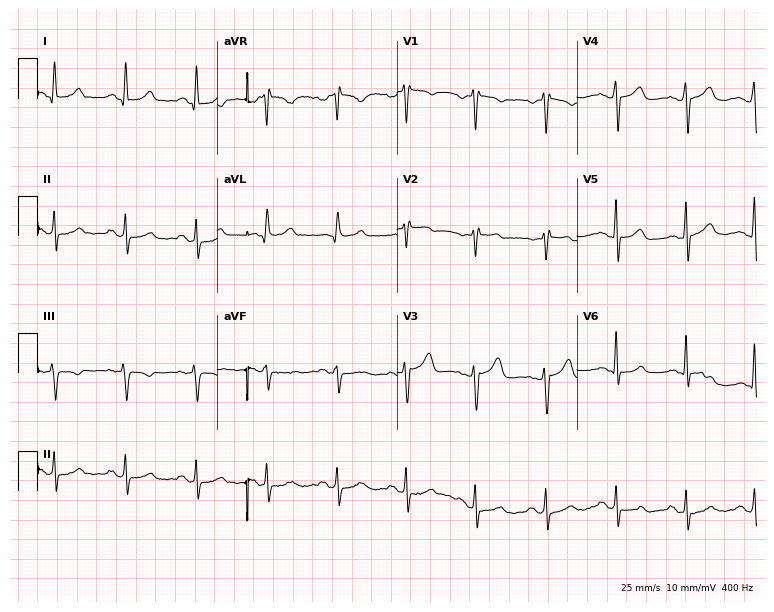
Electrocardiogram (7.3-second recording at 400 Hz), a 46-year-old female patient. Of the six screened findings (first-degree AV block, right bundle branch block (RBBB), left bundle branch block (LBBB), sinus bradycardia, atrial fibrillation (AF), sinus tachycardia), none is recorded.